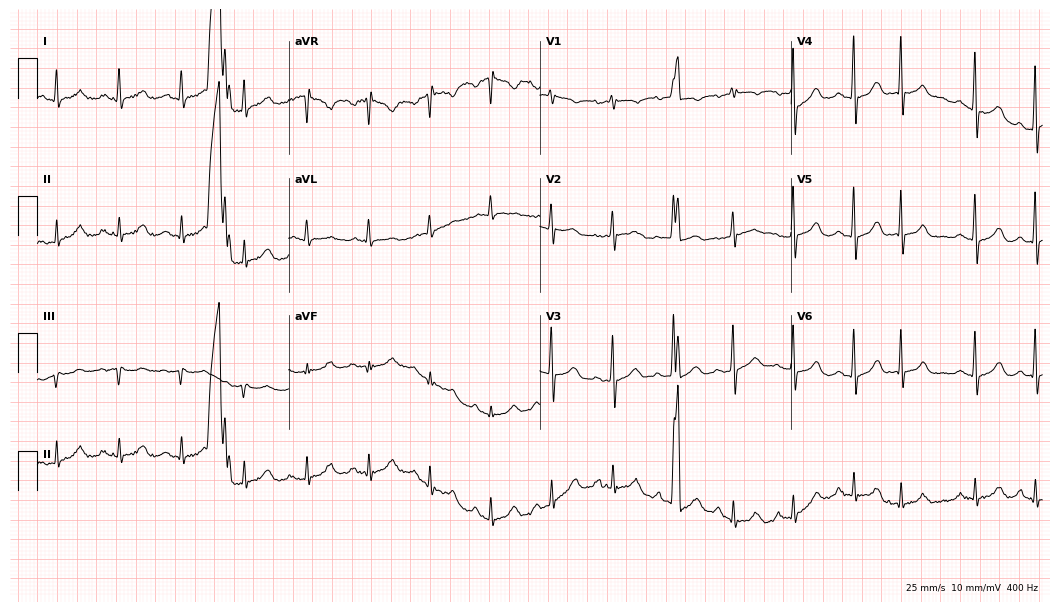
12-lead ECG from a 78-year-old woman. Screened for six findings — first-degree AV block, right bundle branch block, left bundle branch block, sinus bradycardia, atrial fibrillation, sinus tachycardia — none is recorded.